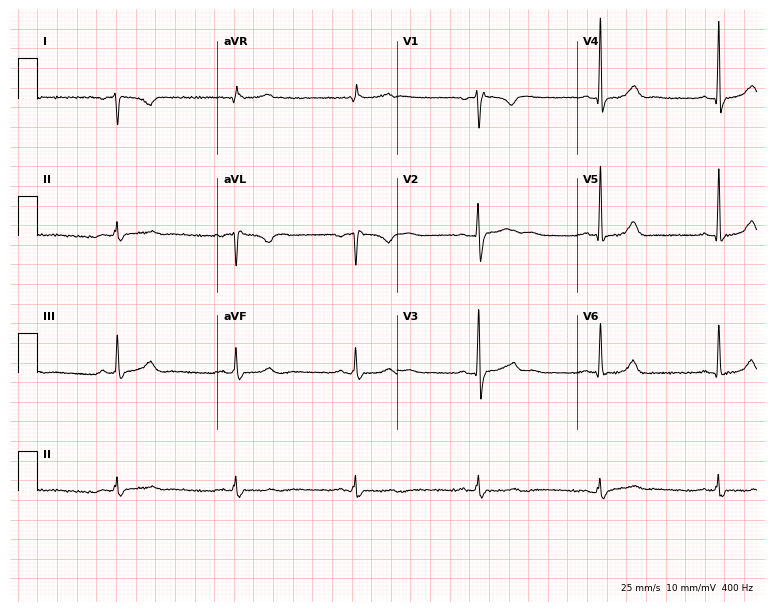
Electrocardiogram, a 36-year-old man. Of the six screened findings (first-degree AV block, right bundle branch block, left bundle branch block, sinus bradycardia, atrial fibrillation, sinus tachycardia), none is recorded. Findings outside these six are not listed.